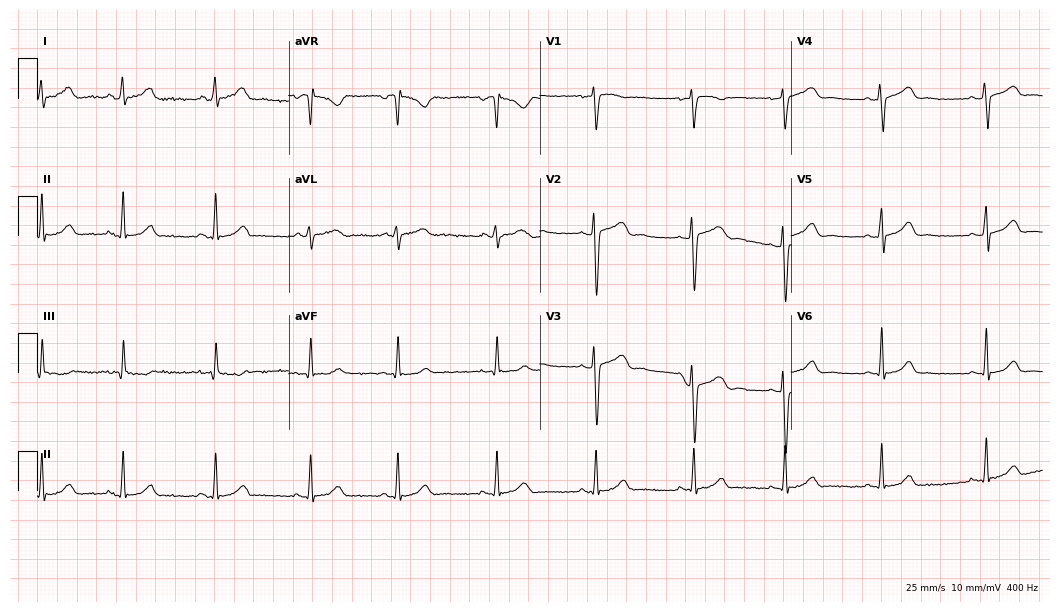
ECG (10.2-second recording at 400 Hz) — a female, 26 years old. Labelled as a normal ECG.